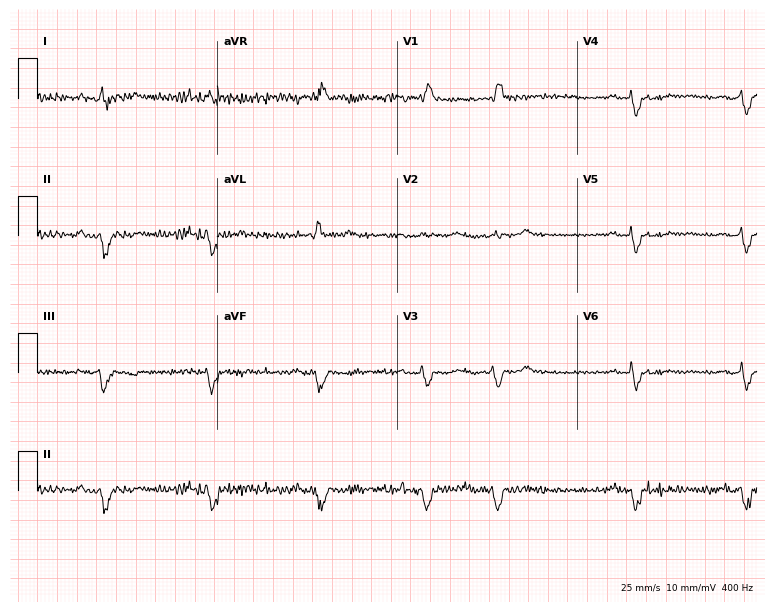
12-lead ECG from a 68-year-old male patient. No first-degree AV block, right bundle branch block, left bundle branch block, sinus bradycardia, atrial fibrillation or sinus tachycardia recorded for this tracing.